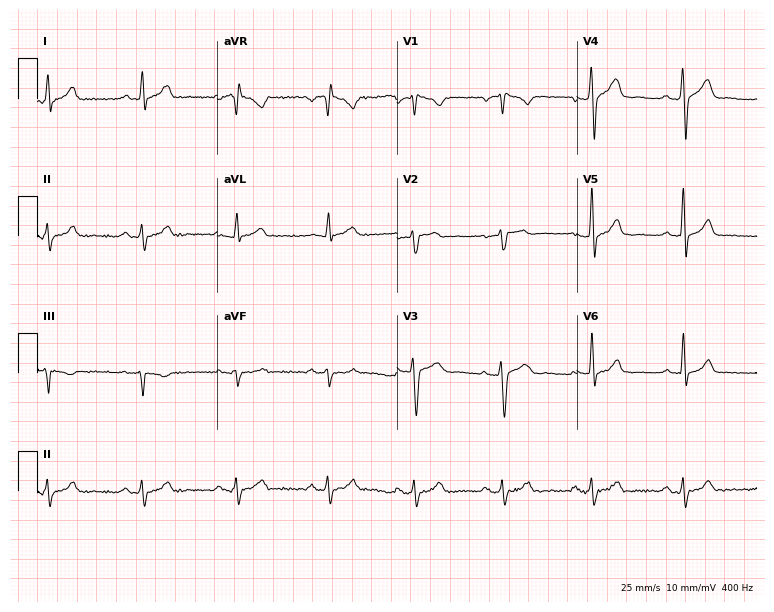
12-lead ECG (7.3-second recording at 400 Hz) from a man, 43 years old. Screened for six findings — first-degree AV block, right bundle branch block (RBBB), left bundle branch block (LBBB), sinus bradycardia, atrial fibrillation (AF), sinus tachycardia — none is recorded.